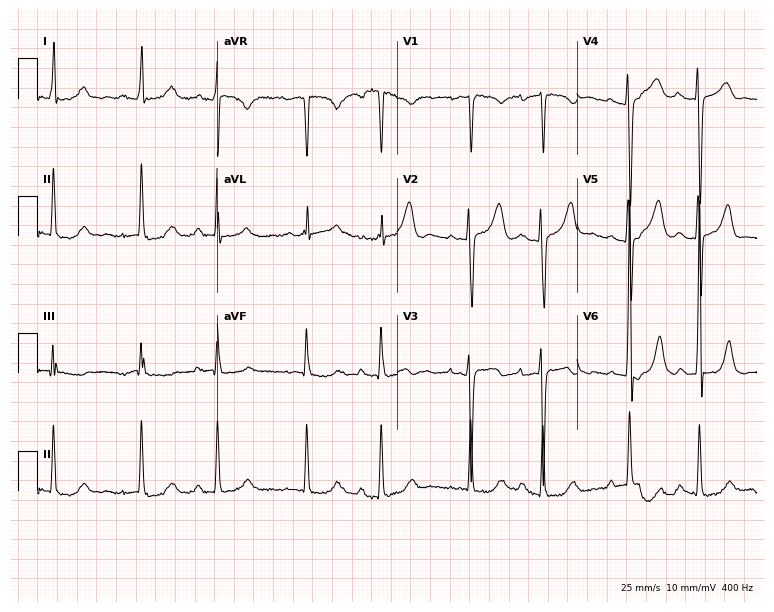
ECG (7.3-second recording at 400 Hz) — a 63-year-old female patient. Labelled as a normal ECG.